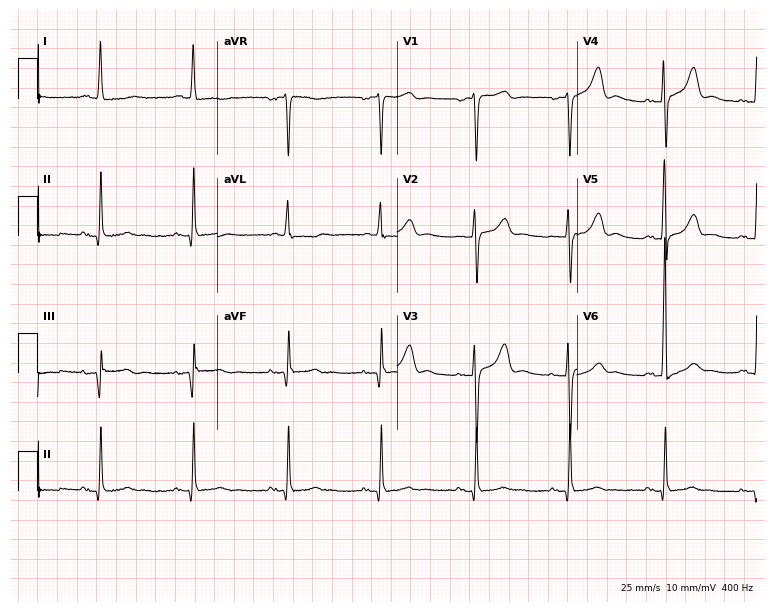
Resting 12-lead electrocardiogram (7.3-second recording at 400 Hz). Patient: a female, 76 years old. None of these six findings is recorded: first-degree AV block, right bundle branch block, left bundle branch block, sinus bradycardia, atrial fibrillation, sinus tachycardia. Other findings, if any, are not listed.